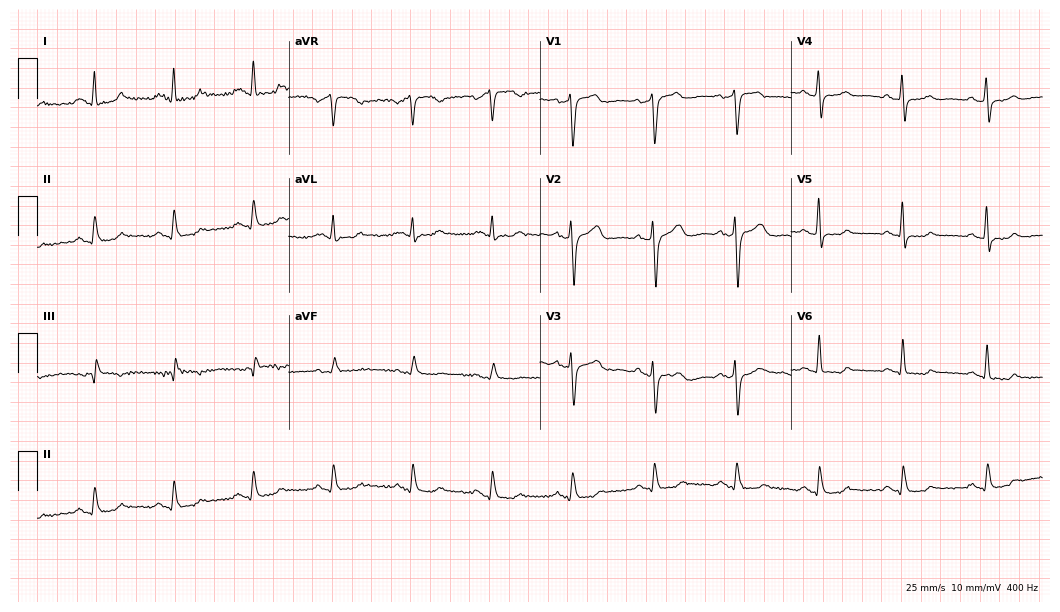
Standard 12-lead ECG recorded from a male patient, 64 years old. None of these six findings is recorded: first-degree AV block, right bundle branch block, left bundle branch block, sinus bradycardia, atrial fibrillation, sinus tachycardia.